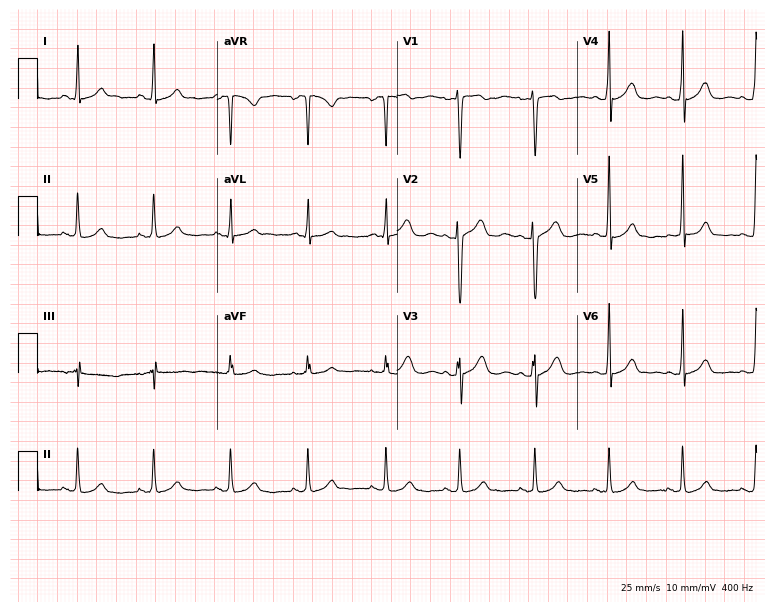
Standard 12-lead ECG recorded from a 35-year-old woman (7.3-second recording at 400 Hz). Read as a normal ECG.